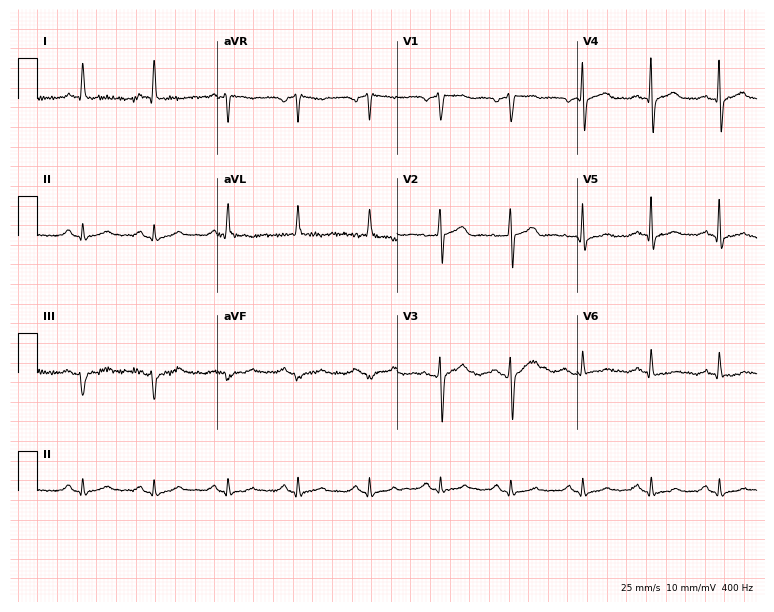
12-lead ECG from a male, 63 years old (7.3-second recording at 400 Hz). No first-degree AV block, right bundle branch block (RBBB), left bundle branch block (LBBB), sinus bradycardia, atrial fibrillation (AF) or sinus tachycardia recorded for this tracing.